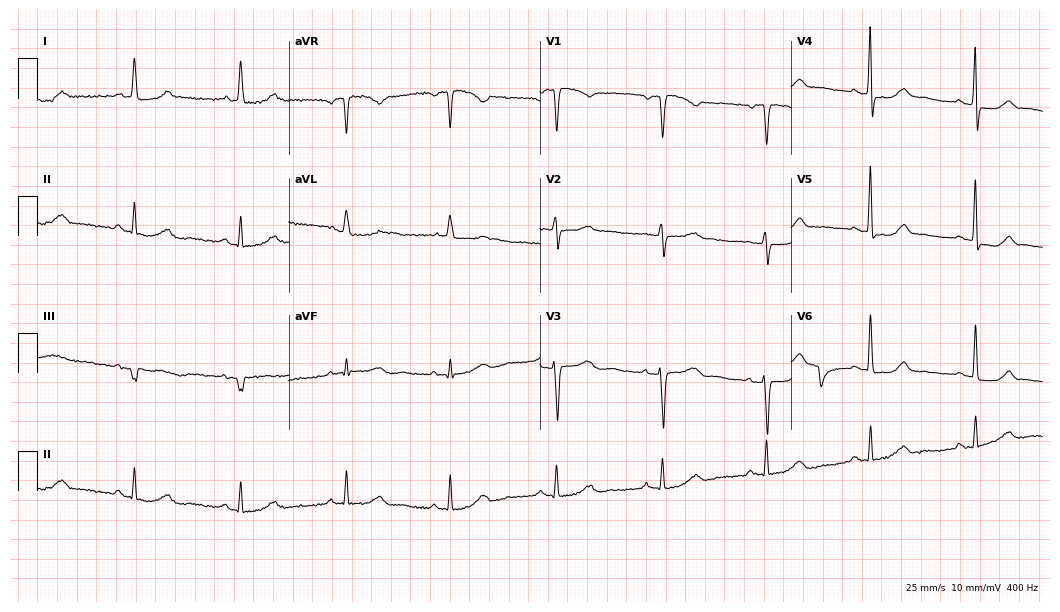
Electrocardiogram (10.2-second recording at 400 Hz), a 69-year-old woman. Of the six screened findings (first-degree AV block, right bundle branch block, left bundle branch block, sinus bradycardia, atrial fibrillation, sinus tachycardia), none is recorded.